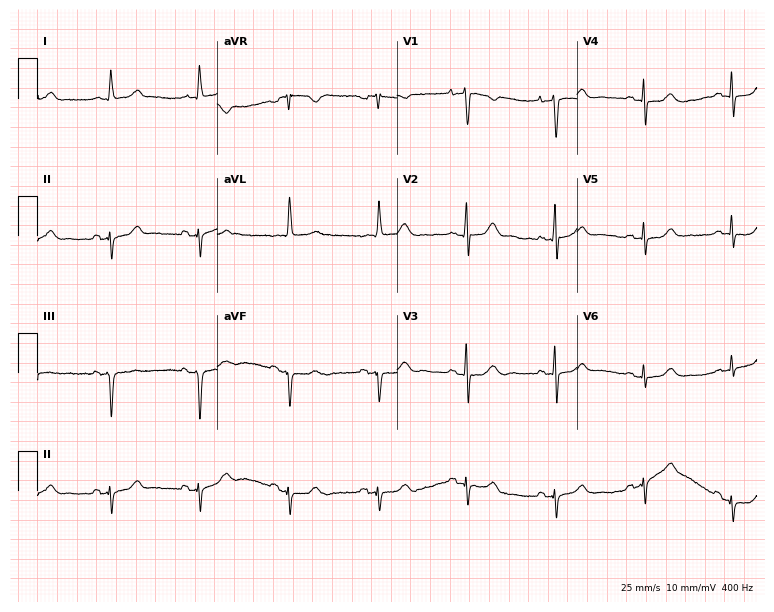
Standard 12-lead ECG recorded from a 70-year-old female patient (7.3-second recording at 400 Hz). None of these six findings is recorded: first-degree AV block, right bundle branch block, left bundle branch block, sinus bradycardia, atrial fibrillation, sinus tachycardia.